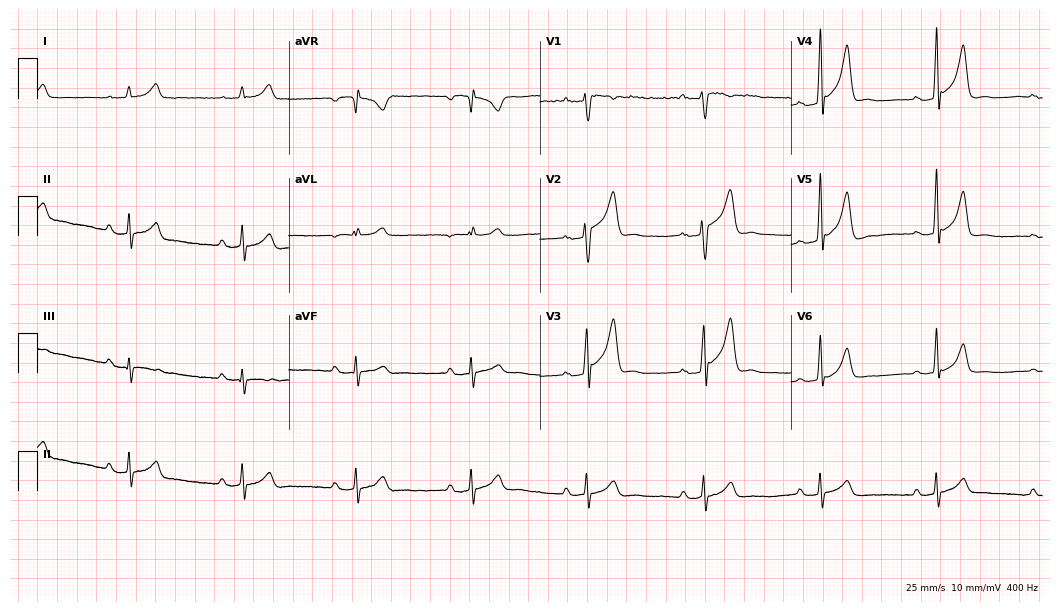
ECG (10.2-second recording at 400 Hz) — a male patient, 31 years old. Findings include first-degree AV block.